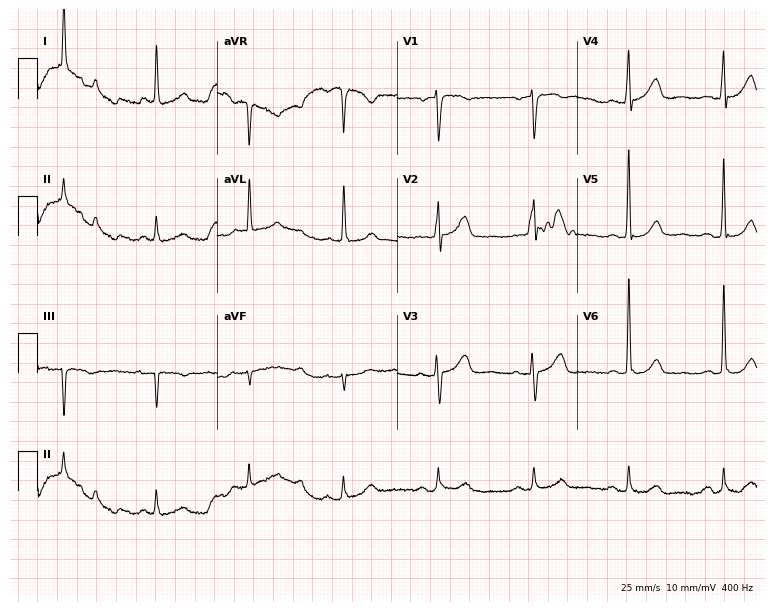
Electrocardiogram (7.3-second recording at 400 Hz), a male patient, 77 years old. Overall reading on record: normal ECG.